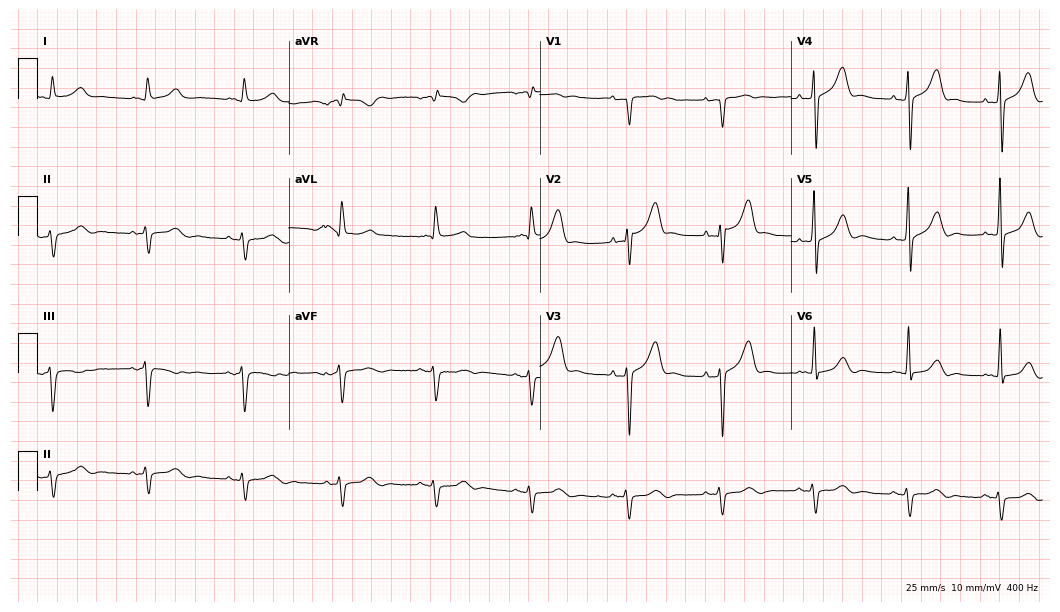
12-lead ECG from a 53-year-old man. No first-degree AV block, right bundle branch block, left bundle branch block, sinus bradycardia, atrial fibrillation or sinus tachycardia recorded for this tracing.